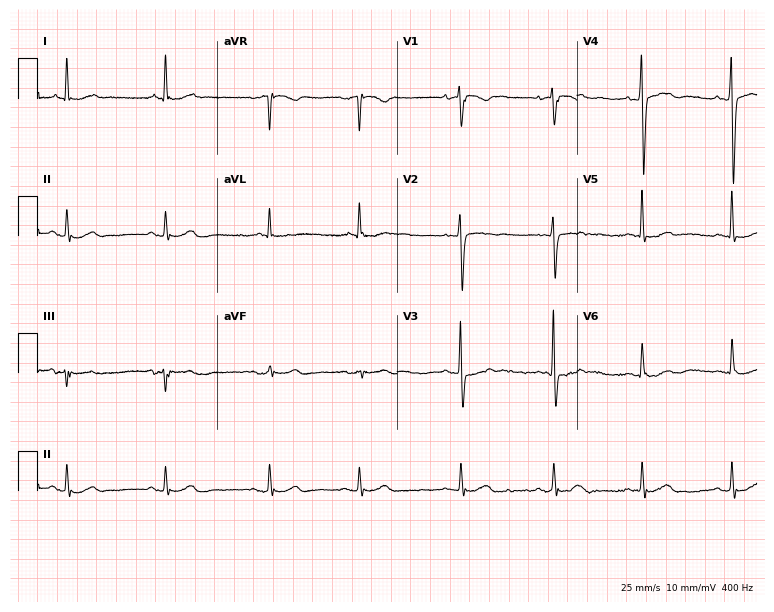
ECG (7.3-second recording at 400 Hz) — a male, 81 years old. Screened for six findings — first-degree AV block, right bundle branch block, left bundle branch block, sinus bradycardia, atrial fibrillation, sinus tachycardia — none is recorded. Findings outside these six are not listed.